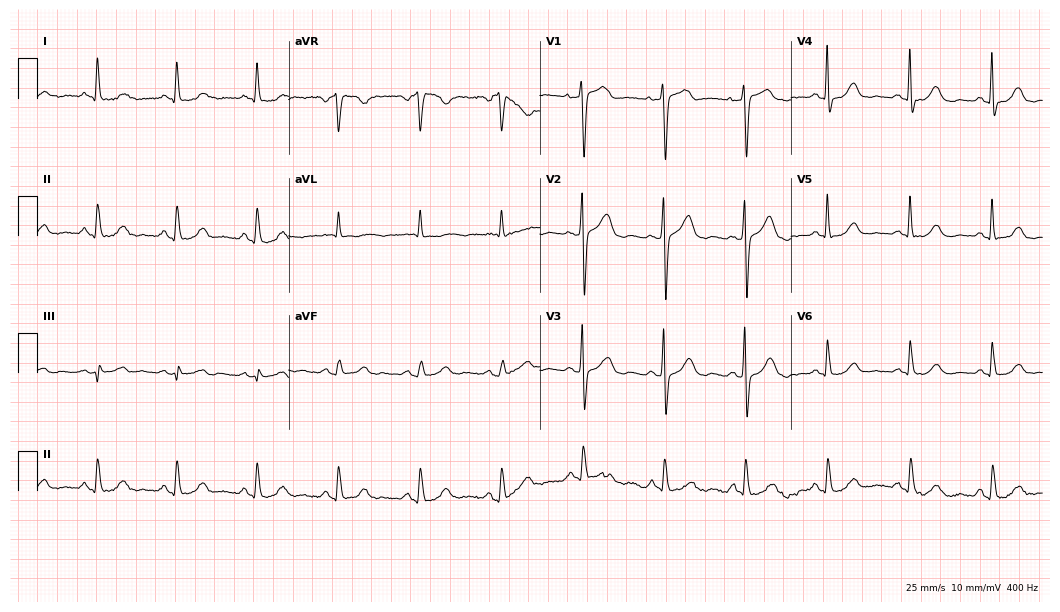
Resting 12-lead electrocardiogram (10.2-second recording at 400 Hz). Patient: a 64-year-old female. Read as a normal ECG.